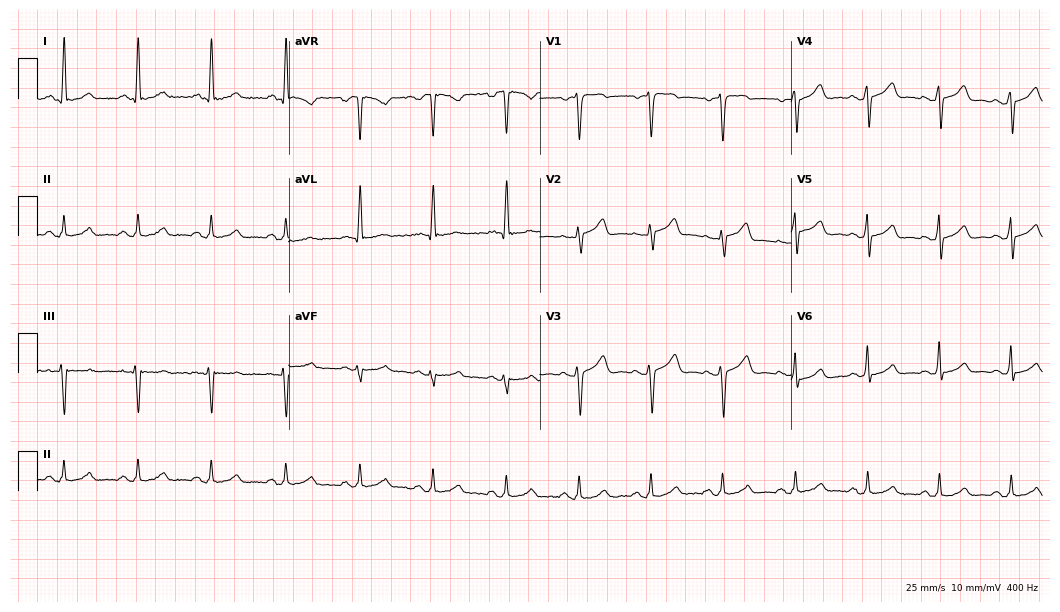
Resting 12-lead electrocardiogram. Patient: a female, 53 years old. Read as a normal ECG.